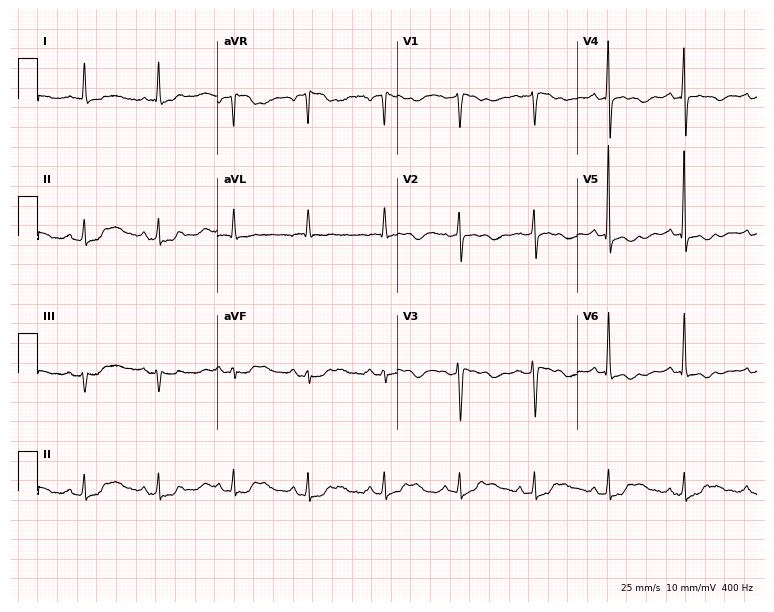
ECG — a woman, 81 years old. Screened for six findings — first-degree AV block, right bundle branch block (RBBB), left bundle branch block (LBBB), sinus bradycardia, atrial fibrillation (AF), sinus tachycardia — none is recorded. Only these six findings were labelled.